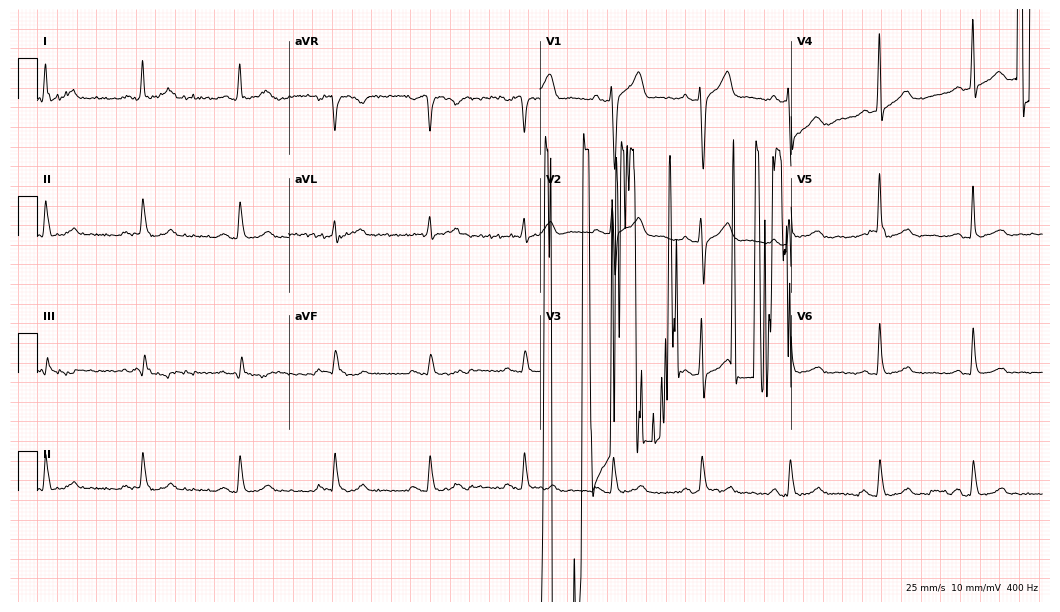
12-lead ECG from a male, 57 years old (10.2-second recording at 400 Hz). No first-degree AV block, right bundle branch block, left bundle branch block, sinus bradycardia, atrial fibrillation or sinus tachycardia recorded for this tracing. Other findings, if any, are not listed.